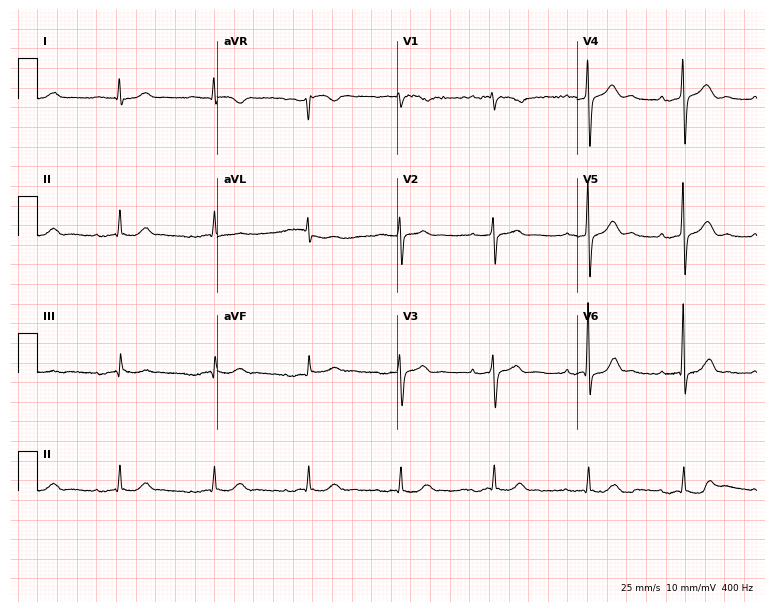
12-lead ECG from a male patient, 74 years old. Labelled as a normal ECG.